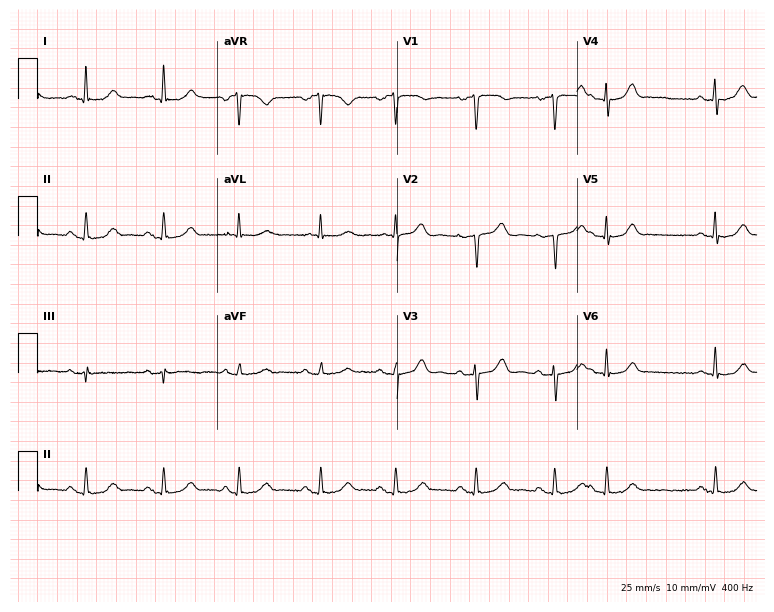
12-lead ECG from a female patient, 76 years old (7.3-second recording at 400 Hz). Recorded interpretation: within normal limits.